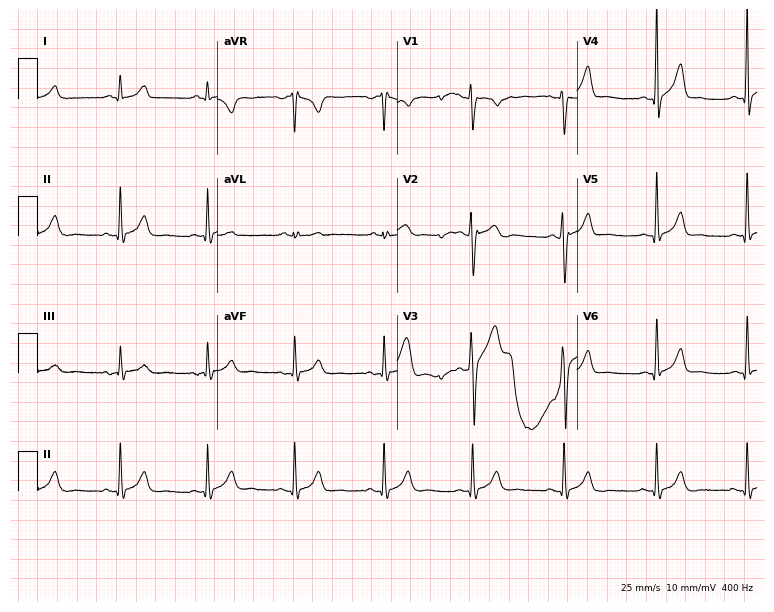
12-lead ECG from a man, 23 years old. Screened for six findings — first-degree AV block, right bundle branch block, left bundle branch block, sinus bradycardia, atrial fibrillation, sinus tachycardia — none is recorded.